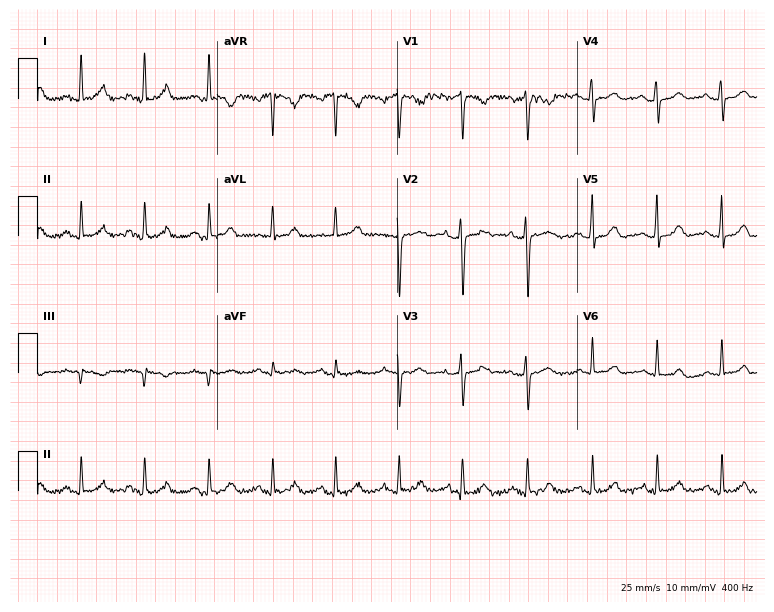
12-lead ECG from a 36-year-old female. Recorded interpretation: within normal limits.